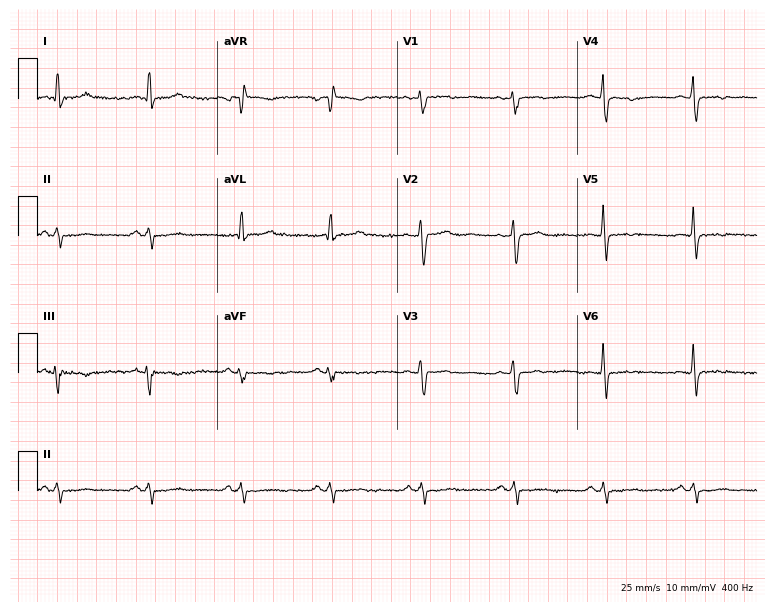
Resting 12-lead electrocardiogram. Patient: a female, 43 years old. None of these six findings is recorded: first-degree AV block, right bundle branch block, left bundle branch block, sinus bradycardia, atrial fibrillation, sinus tachycardia.